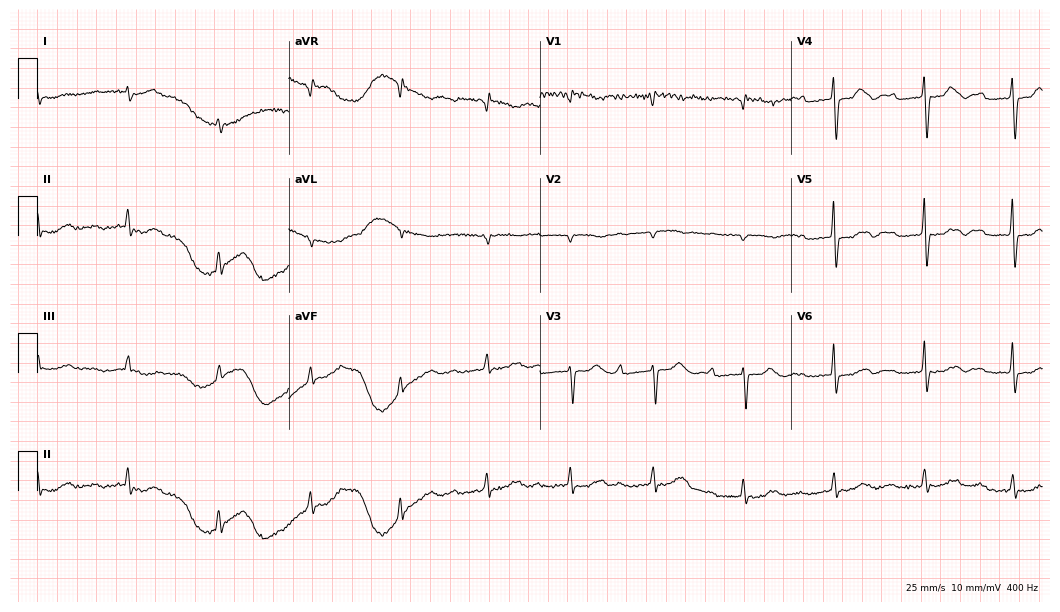
Resting 12-lead electrocardiogram. Patient: a female, 79 years old. The tracing shows first-degree AV block.